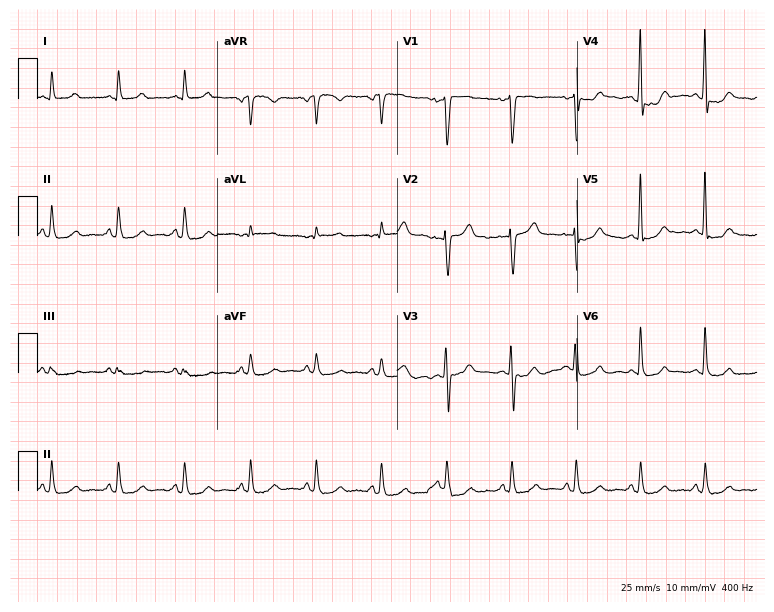
Electrocardiogram (7.3-second recording at 400 Hz), a 74-year-old male. Of the six screened findings (first-degree AV block, right bundle branch block (RBBB), left bundle branch block (LBBB), sinus bradycardia, atrial fibrillation (AF), sinus tachycardia), none is recorded.